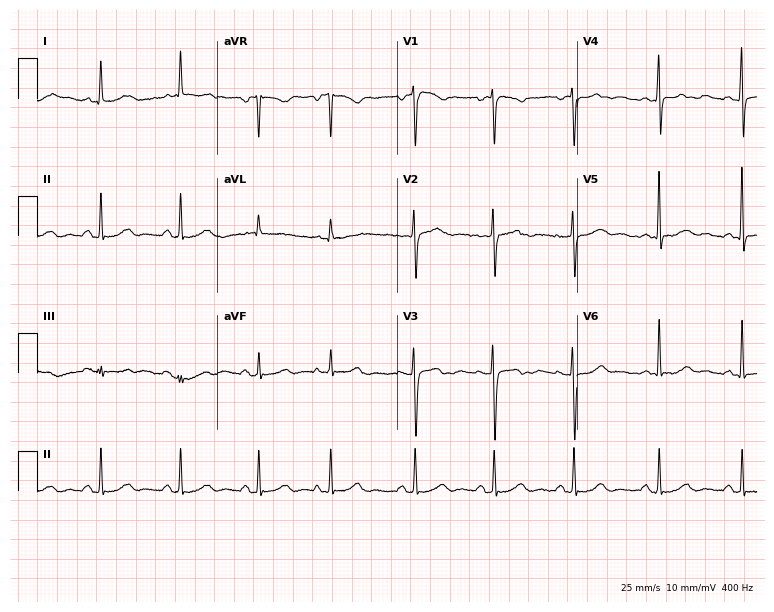
ECG — a 45-year-old woman. Screened for six findings — first-degree AV block, right bundle branch block, left bundle branch block, sinus bradycardia, atrial fibrillation, sinus tachycardia — none is recorded.